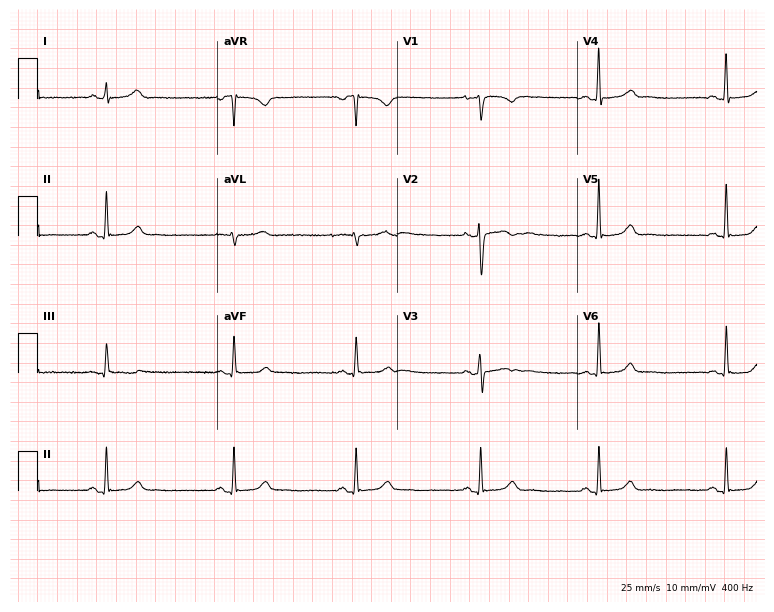
ECG — a 34-year-old female patient. Labelled as a normal ECG.